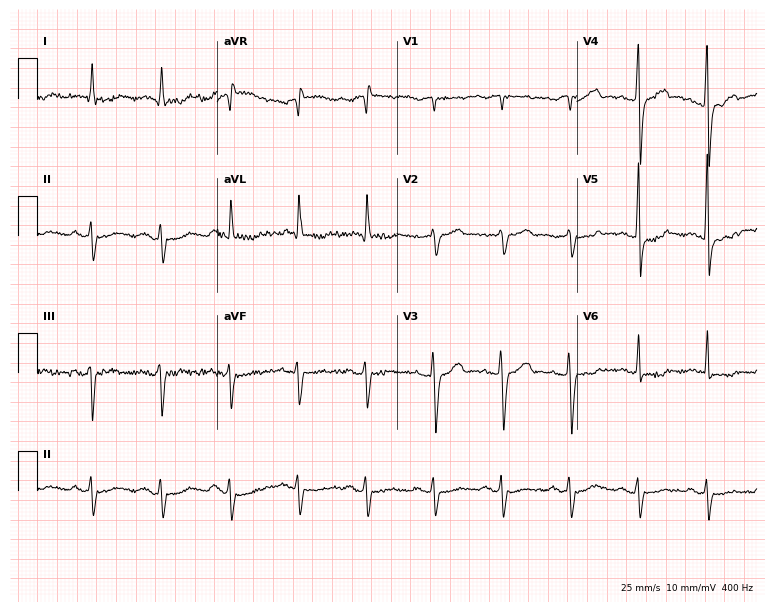
Resting 12-lead electrocardiogram (7.3-second recording at 400 Hz). Patient: a 63-year-old male. None of these six findings is recorded: first-degree AV block, right bundle branch block, left bundle branch block, sinus bradycardia, atrial fibrillation, sinus tachycardia.